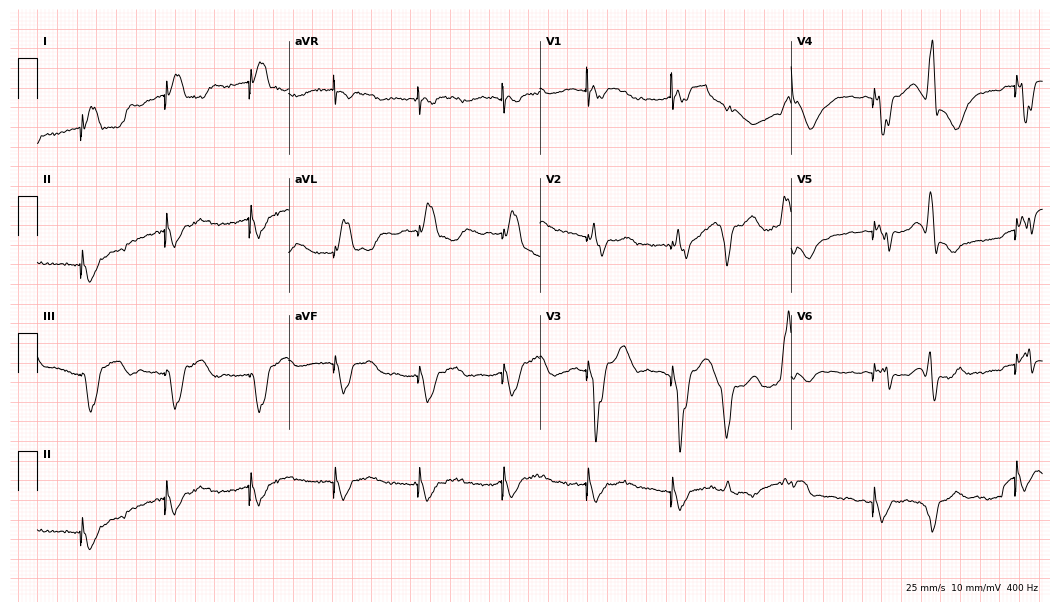
12-lead ECG (10.2-second recording at 400 Hz) from a male patient, 84 years old. Screened for six findings — first-degree AV block, right bundle branch block, left bundle branch block, sinus bradycardia, atrial fibrillation, sinus tachycardia — none is recorded. Other findings, if any, are not listed.